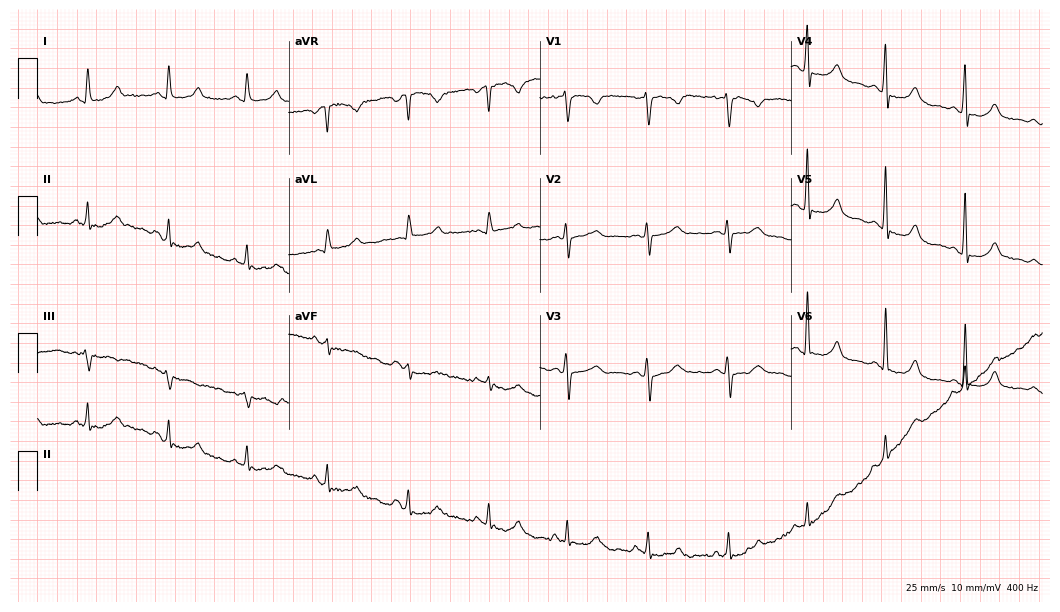
Resting 12-lead electrocardiogram. Patient: a 50-year-old female. Read as a normal ECG.